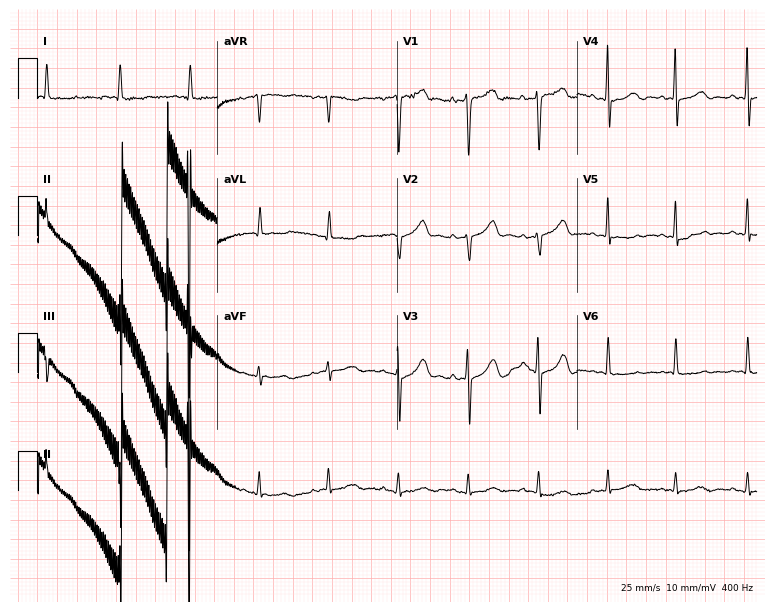
12-lead ECG from an 80-year-old woman. Recorded interpretation: within normal limits.